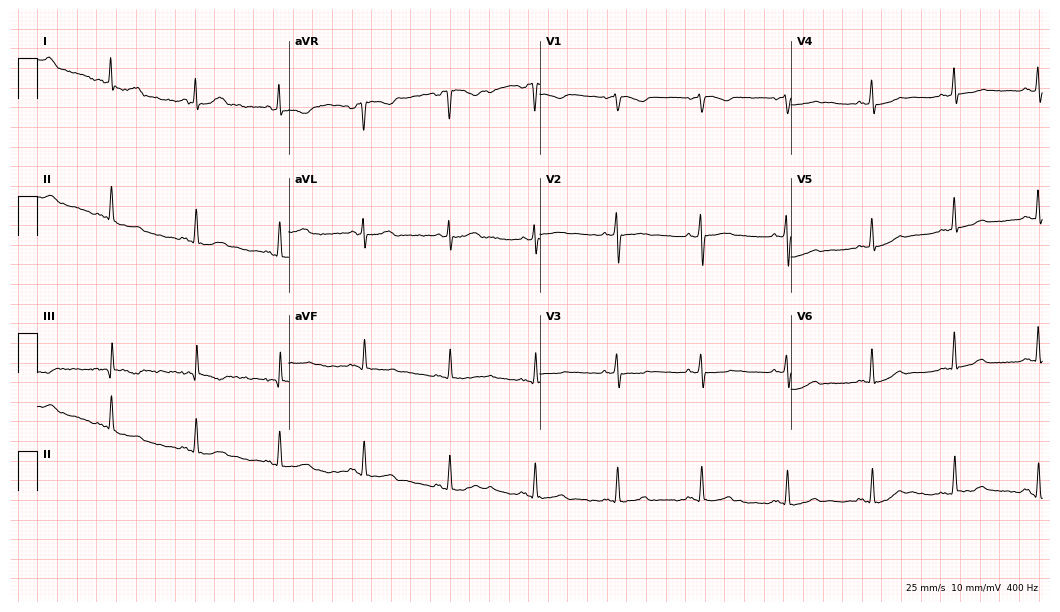
Standard 12-lead ECG recorded from a 57-year-old female (10.2-second recording at 400 Hz). Read as a normal ECG.